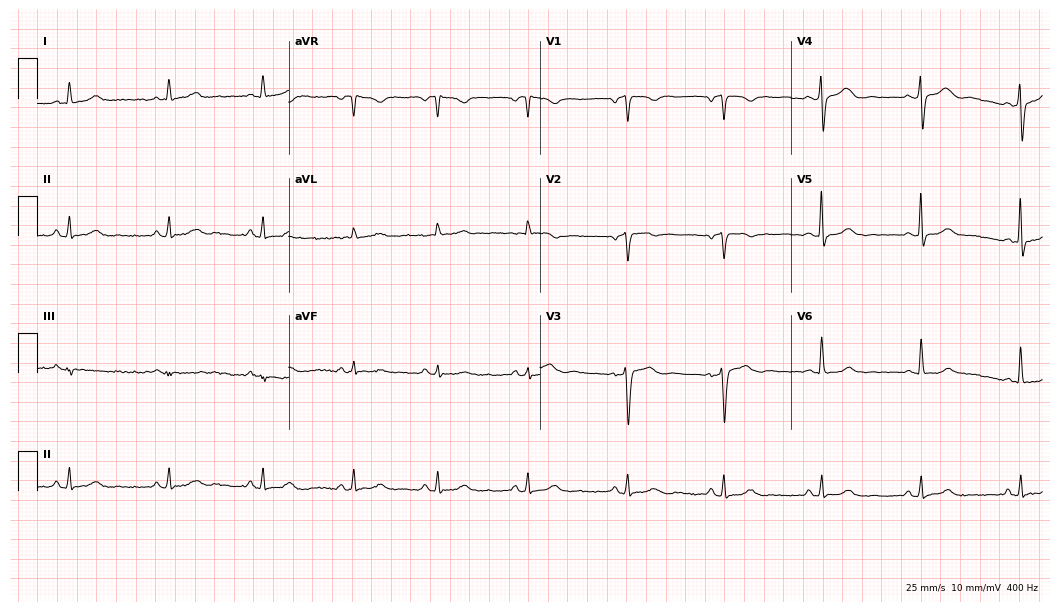
Resting 12-lead electrocardiogram. Patient: a female, 67 years old. Read as a normal ECG.